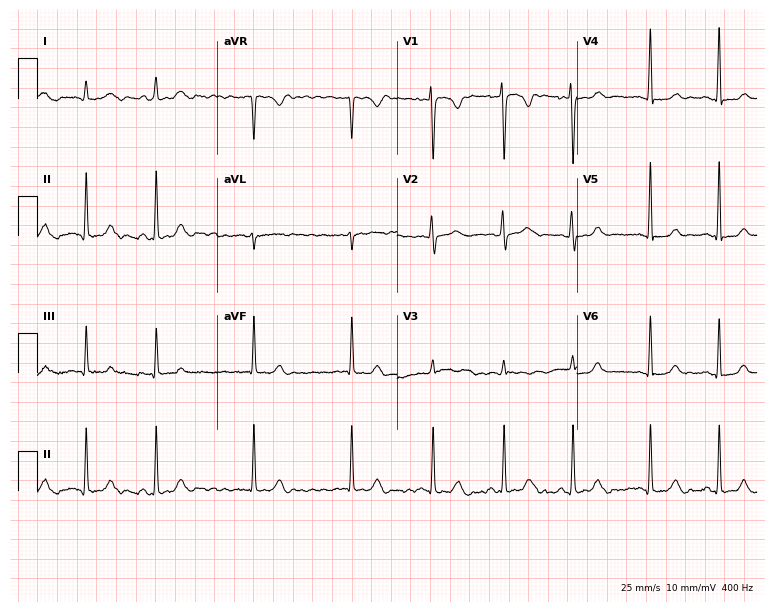
ECG — a 19-year-old female. Screened for six findings — first-degree AV block, right bundle branch block, left bundle branch block, sinus bradycardia, atrial fibrillation, sinus tachycardia — none is recorded.